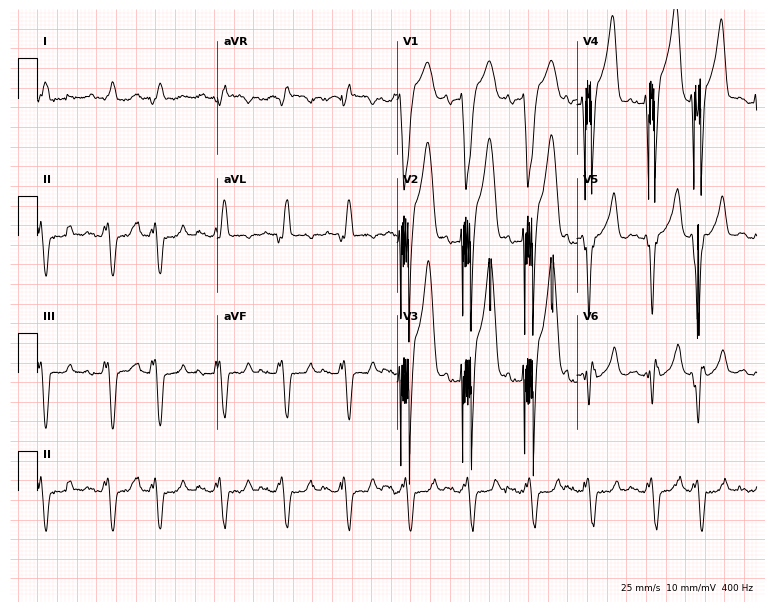
Standard 12-lead ECG recorded from a male patient, 81 years old (7.3-second recording at 400 Hz). None of these six findings is recorded: first-degree AV block, right bundle branch block, left bundle branch block, sinus bradycardia, atrial fibrillation, sinus tachycardia. Findings outside these six are not listed.